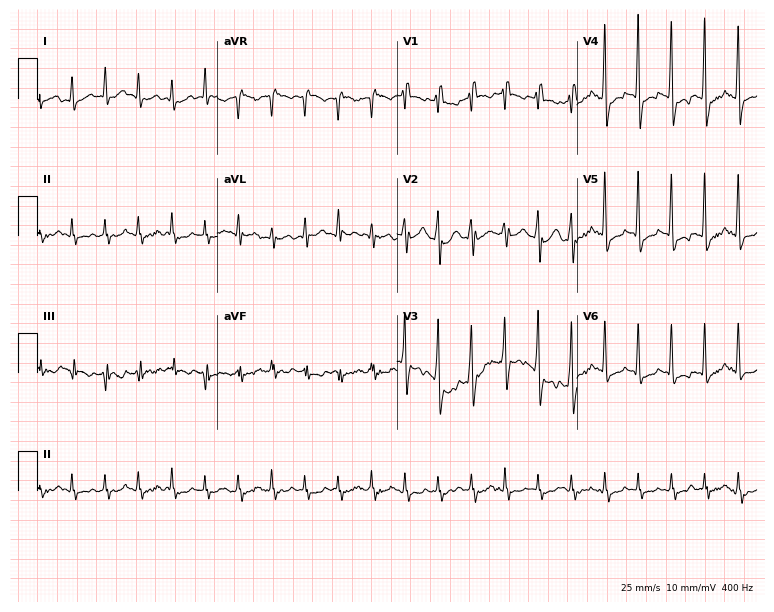
ECG — a 36-year-old man. Findings include sinus tachycardia (a sinus rate of 100 beats per minute or more).